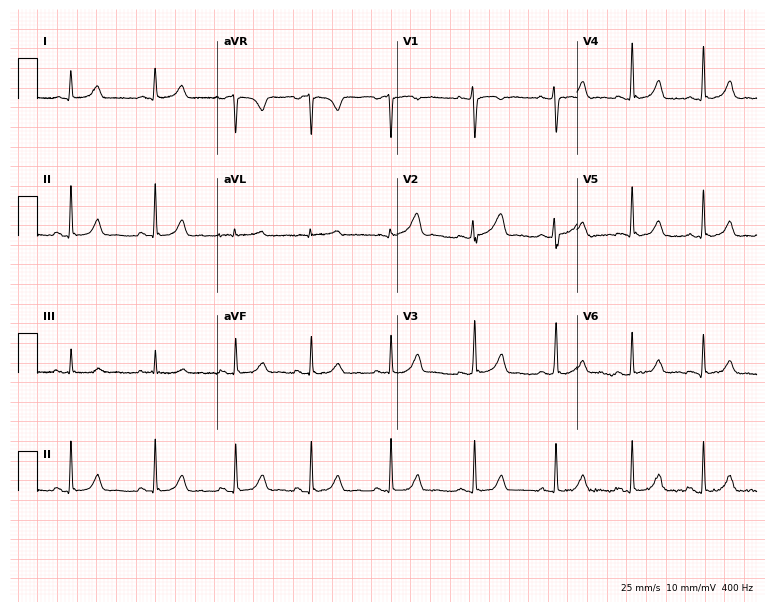
12-lead ECG from a 27-year-old female patient (7.3-second recording at 400 Hz). Recorded interpretation: within normal limits.